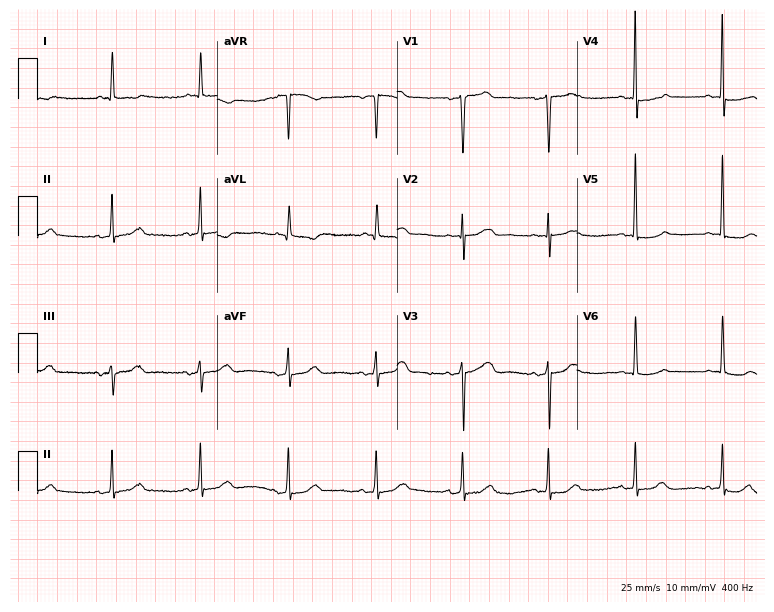
Resting 12-lead electrocardiogram. Patient: a female, 84 years old. None of these six findings is recorded: first-degree AV block, right bundle branch block, left bundle branch block, sinus bradycardia, atrial fibrillation, sinus tachycardia. Findings outside these six are not listed.